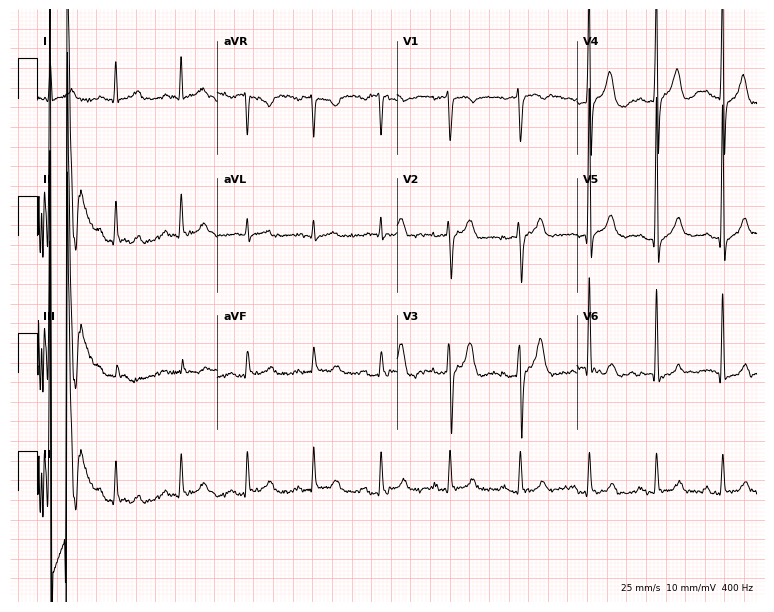
12-lead ECG from a 59-year-old male patient. No first-degree AV block, right bundle branch block, left bundle branch block, sinus bradycardia, atrial fibrillation or sinus tachycardia recorded for this tracing.